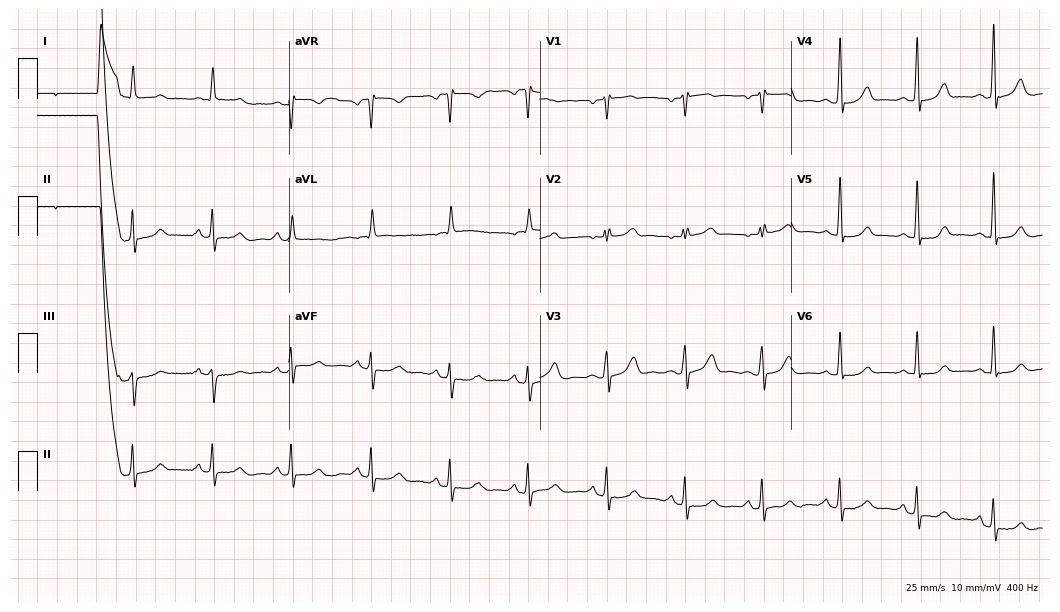
Electrocardiogram, a 63-year-old woman. Overall reading on record: normal ECG.